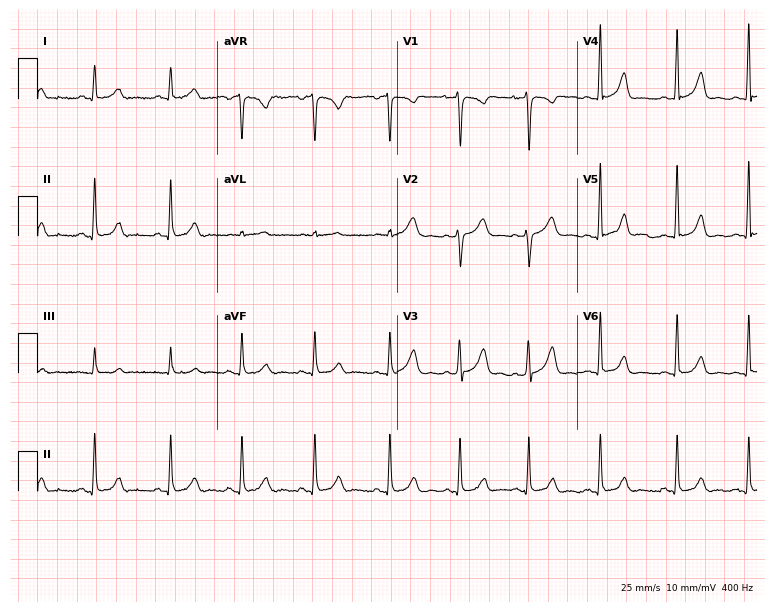
Electrocardiogram (7.3-second recording at 400 Hz), a female, 23 years old. Overall reading on record: normal ECG.